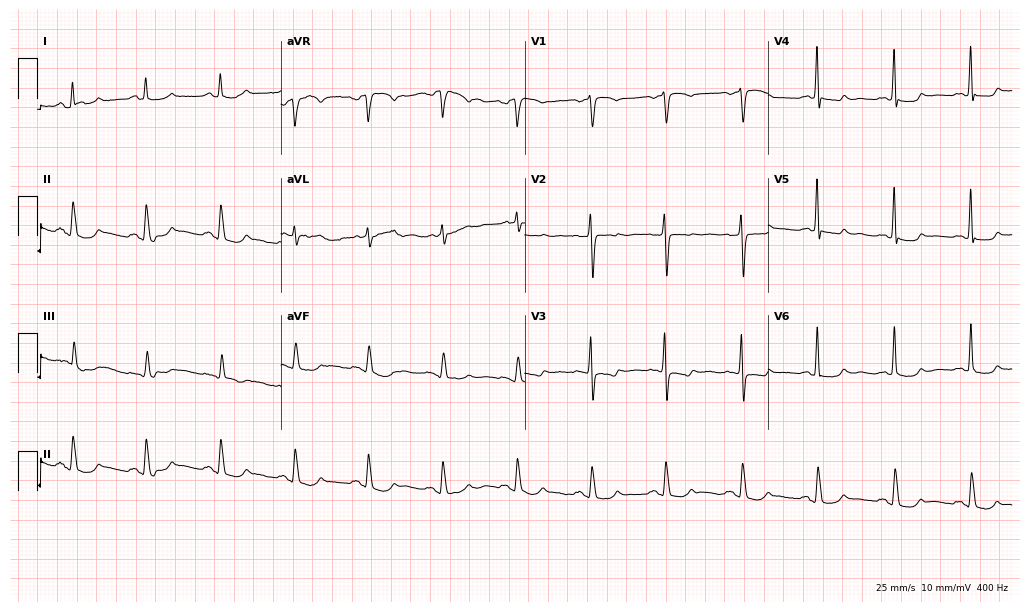
Resting 12-lead electrocardiogram. Patient: a 76-year-old woman. None of these six findings is recorded: first-degree AV block, right bundle branch block (RBBB), left bundle branch block (LBBB), sinus bradycardia, atrial fibrillation (AF), sinus tachycardia.